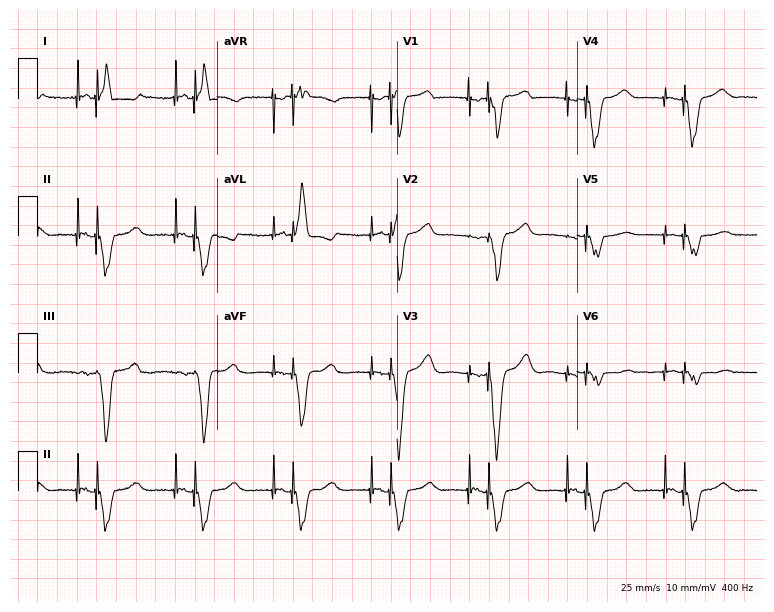
12-lead ECG (7.3-second recording at 400 Hz) from a woman, 80 years old. Screened for six findings — first-degree AV block, right bundle branch block (RBBB), left bundle branch block (LBBB), sinus bradycardia, atrial fibrillation (AF), sinus tachycardia — none is recorded. Findings outside these six are not listed.